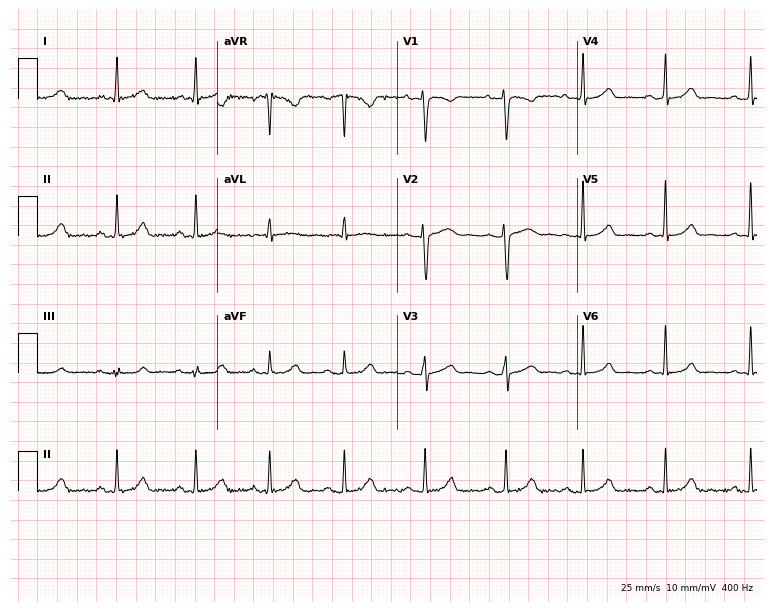
Standard 12-lead ECG recorded from a 25-year-old woman (7.3-second recording at 400 Hz). Read as a normal ECG.